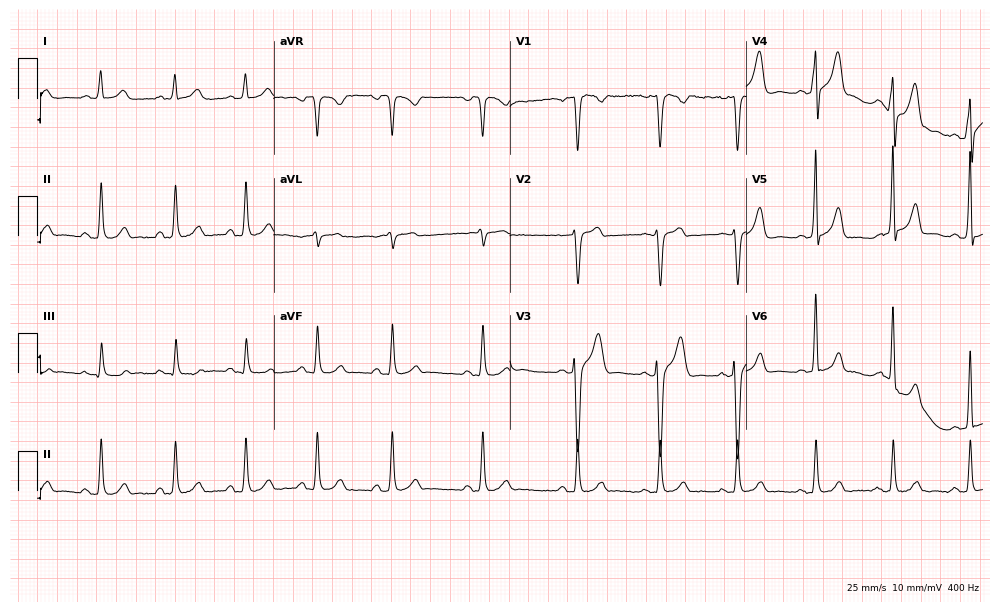
12-lead ECG from a man, 41 years old. No first-degree AV block, right bundle branch block (RBBB), left bundle branch block (LBBB), sinus bradycardia, atrial fibrillation (AF) or sinus tachycardia recorded for this tracing. Findings outside these six are not listed.